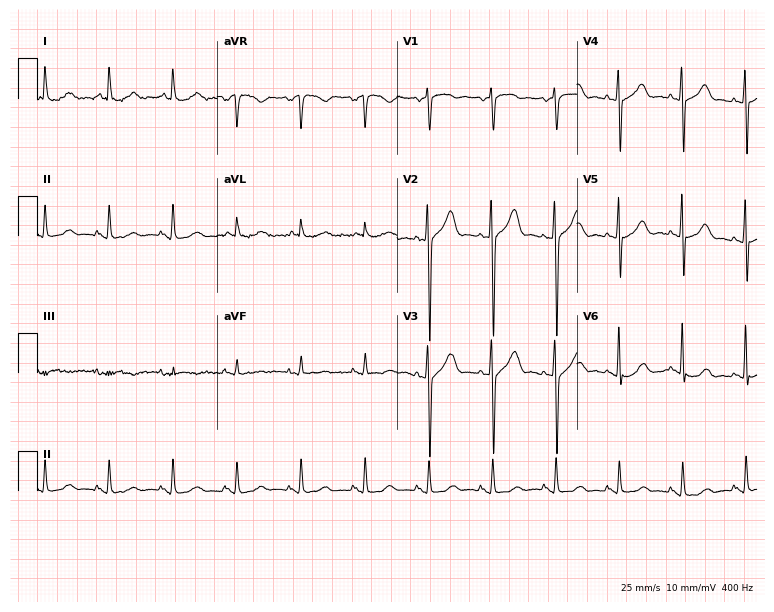
12-lead ECG from a male, 77 years old (7.3-second recording at 400 Hz). No first-degree AV block, right bundle branch block (RBBB), left bundle branch block (LBBB), sinus bradycardia, atrial fibrillation (AF) or sinus tachycardia recorded for this tracing. Findings outside these six are not listed.